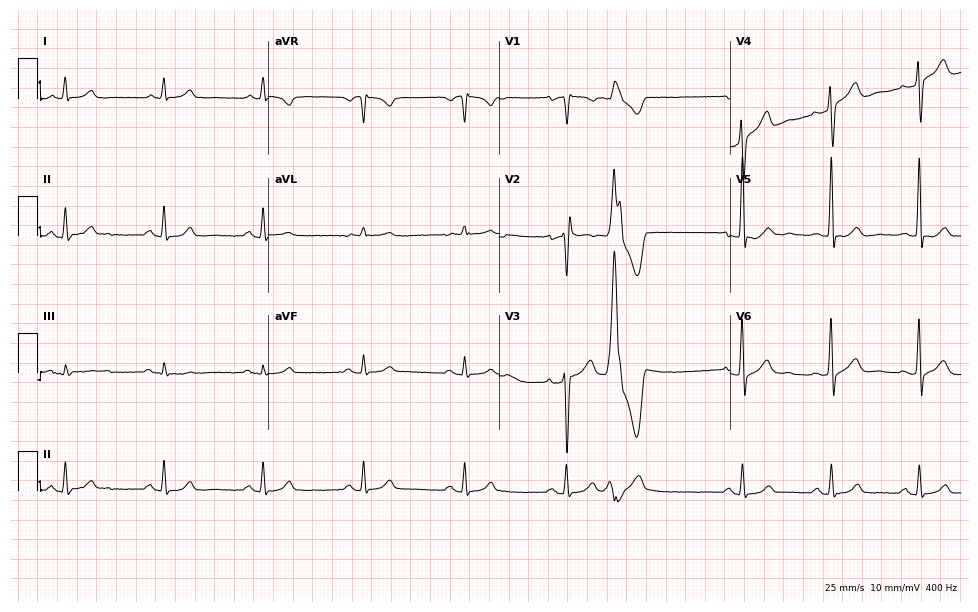
12-lead ECG from a 44-year-old man (9.4-second recording at 400 Hz). No first-degree AV block, right bundle branch block, left bundle branch block, sinus bradycardia, atrial fibrillation or sinus tachycardia recorded for this tracing.